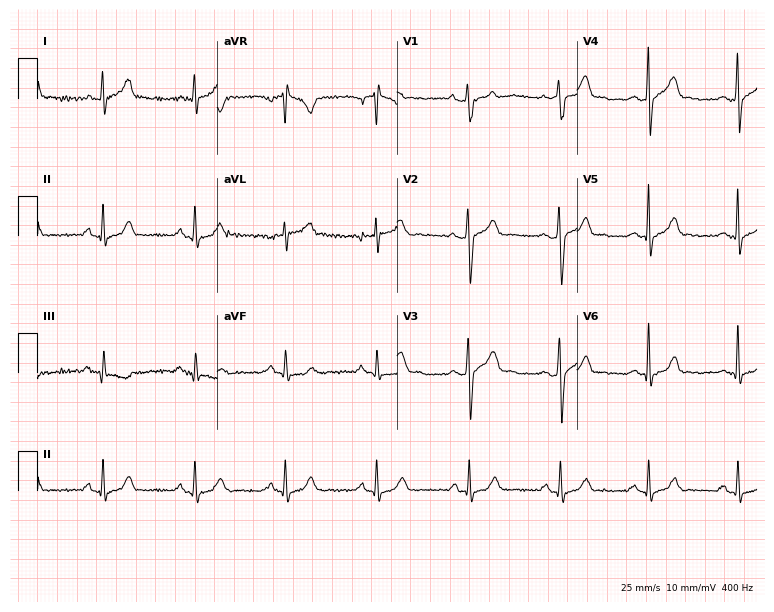
ECG (7.3-second recording at 400 Hz) — a 33-year-old male. Labelled as a normal ECG.